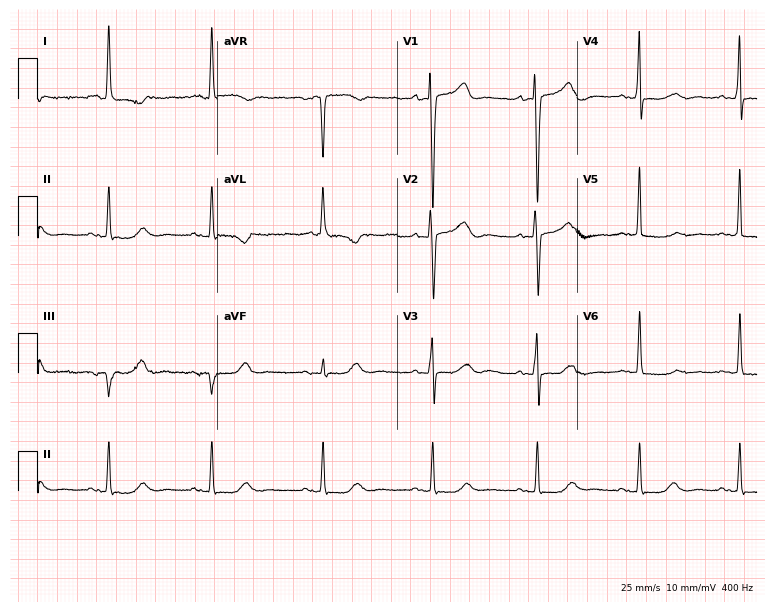
12-lead ECG (7.3-second recording at 400 Hz) from an 81-year-old female. Screened for six findings — first-degree AV block, right bundle branch block, left bundle branch block, sinus bradycardia, atrial fibrillation, sinus tachycardia — none is recorded.